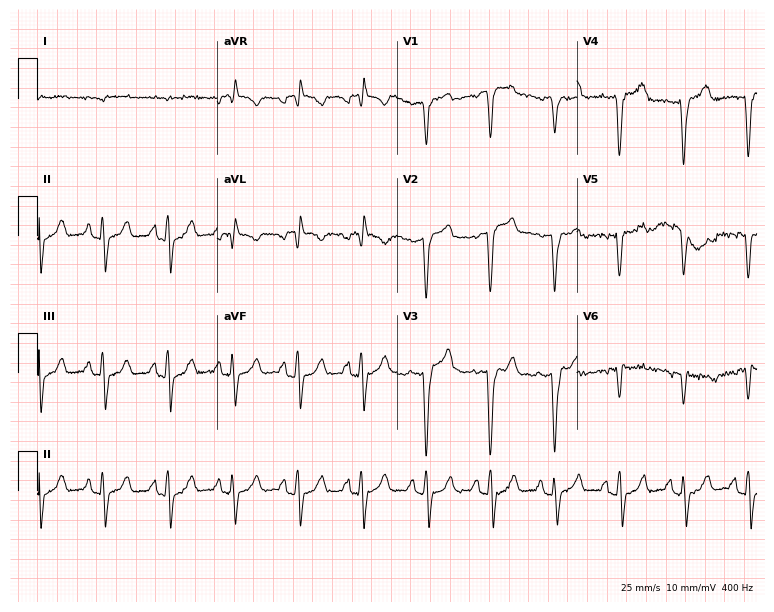
Electrocardiogram, a 79-year-old male. Of the six screened findings (first-degree AV block, right bundle branch block, left bundle branch block, sinus bradycardia, atrial fibrillation, sinus tachycardia), none is recorded. Findings outside these six are not listed.